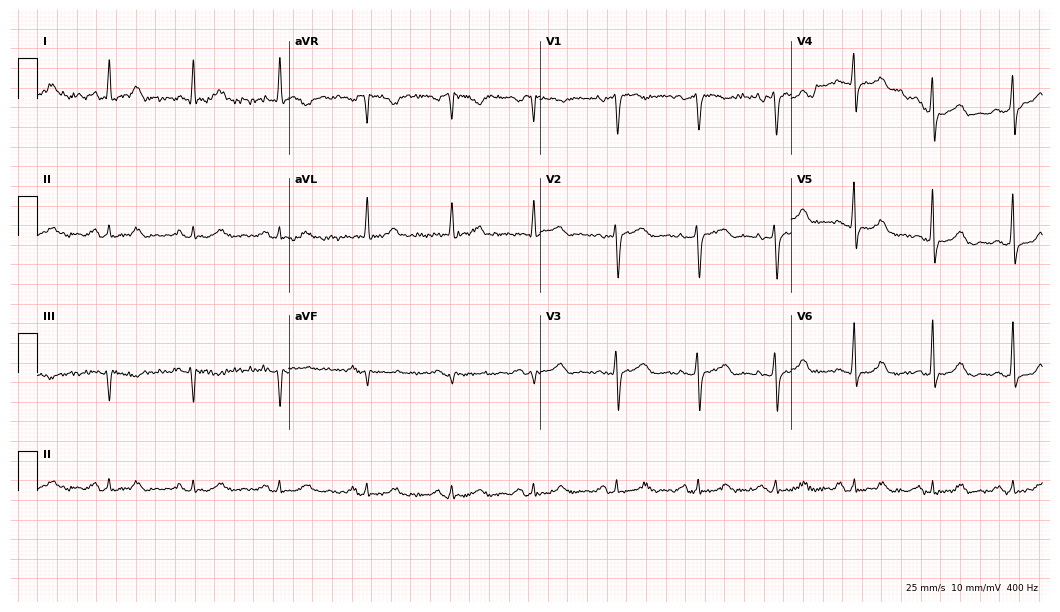
Electrocardiogram (10.2-second recording at 400 Hz), a female patient, 69 years old. Of the six screened findings (first-degree AV block, right bundle branch block (RBBB), left bundle branch block (LBBB), sinus bradycardia, atrial fibrillation (AF), sinus tachycardia), none is recorded.